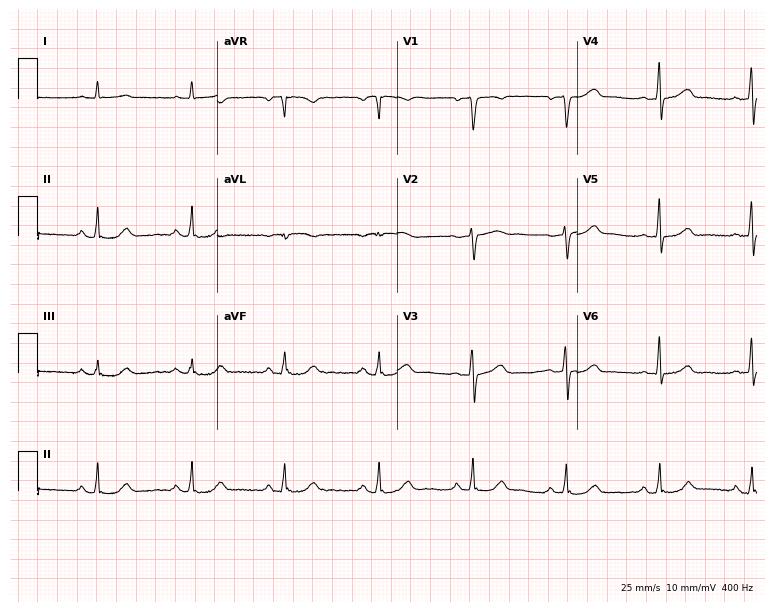
Resting 12-lead electrocardiogram. Patient: a male, 66 years old. Read as a normal ECG.